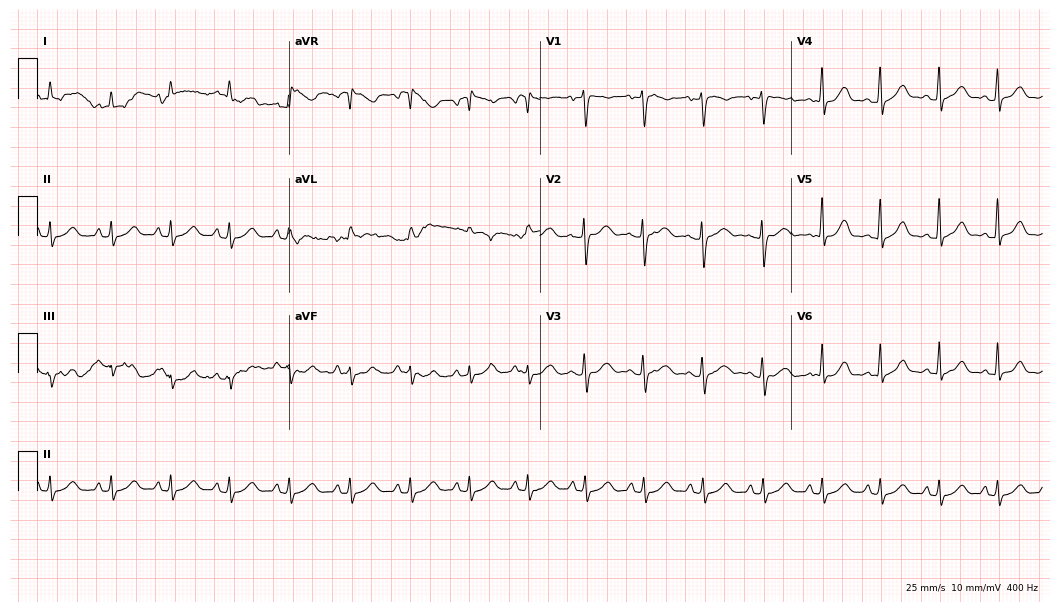
12-lead ECG (10.2-second recording at 400 Hz) from a 25-year-old female. Screened for six findings — first-degree AV block, right bundle branch block, left bundle branch block, sinus bradycardia, atrial fibrillation, sinus tachycardia — none is recorded. Findings outside these six are not listed.